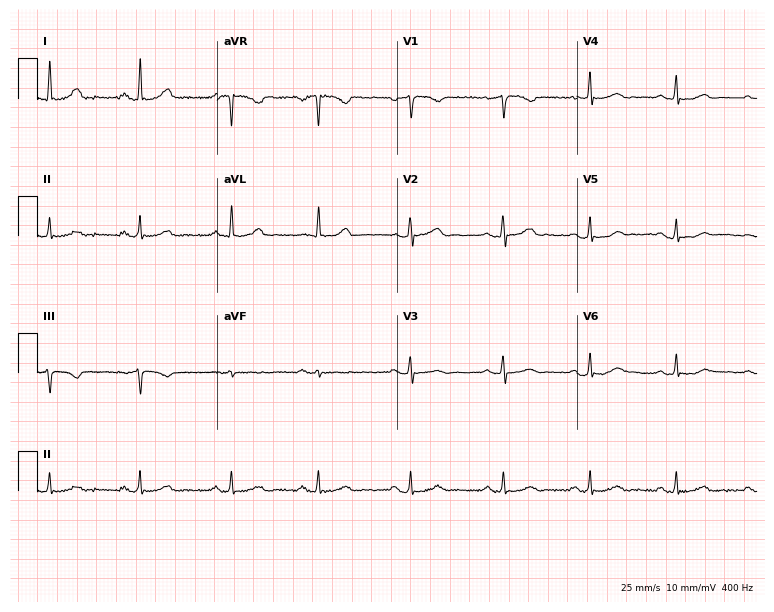
Standard 12-lead ECG recorded from a 55-year-old male patient (7.3-second recording at 400 Hz). None of these six findings is recorded: first-degree AV block, right bundle branch block, left bundle branch block, sinus bradycardia, atrial fibrillation, sinus tachycardia.